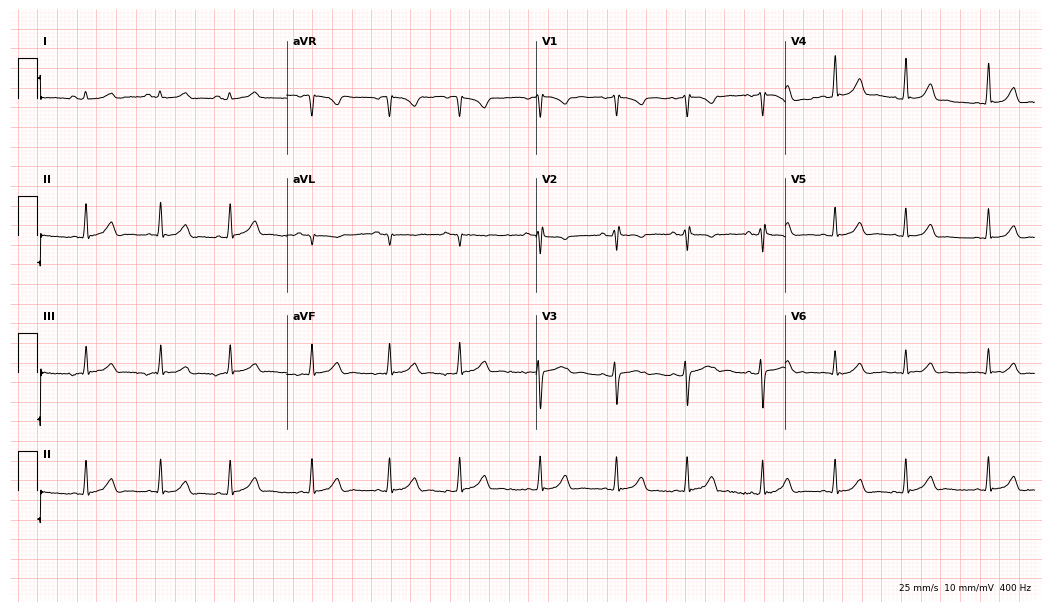
12-lead ECG from a female patient, 20 years old (10.2-second recording at 400 Hz). Recorded interpretation: within normal limits.